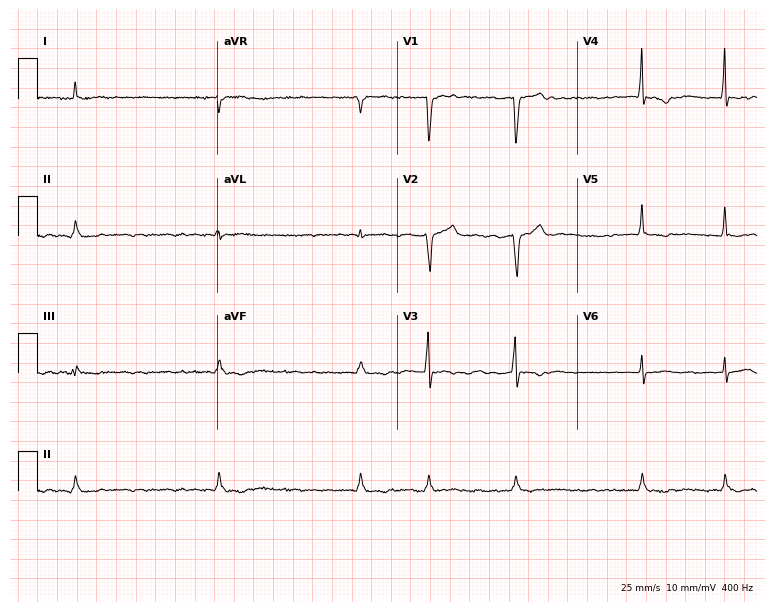
Electrocardiogram (7.3-second recording at 400 Hz), a male, 56 years old. Interpretation includes atrial fibrillation.